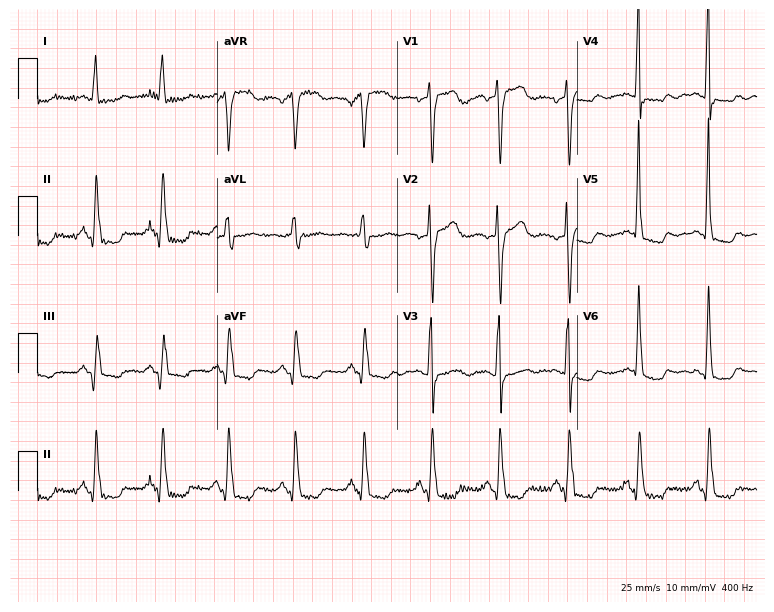
ECG (7.3-second recording at 400 Hz) — a female patient, 69 years old. Screened for six findings — first-degree AV block, right bundle branch block, left bundle branch block, sinus bradycardia, atrial fibrillation, sinus tachycardia — none is recorded. Other findings, if any, are not listed.